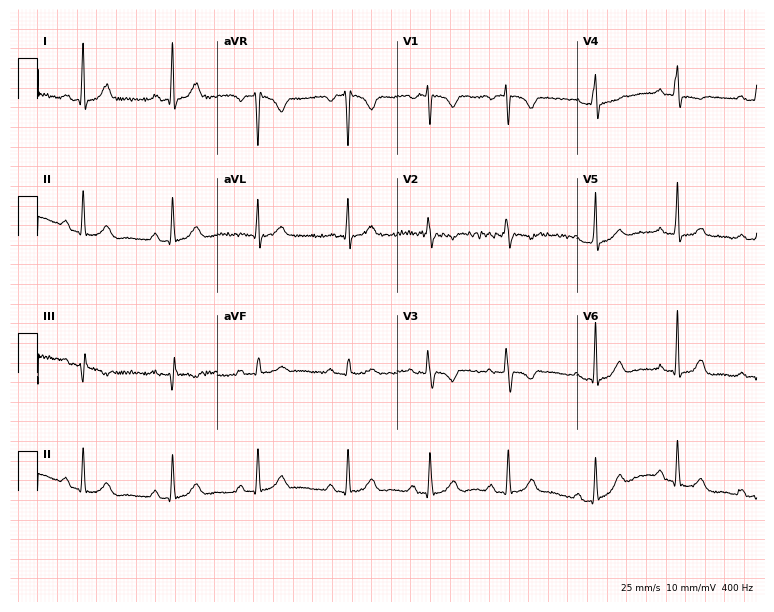
ECG — a female, 32 years old. Screened for six findings — first-degree AV block, right bundle branch block, left bundle branch block, sinus bradycardia, atrial fibrillation, sinus tachycardia — none is recorded.